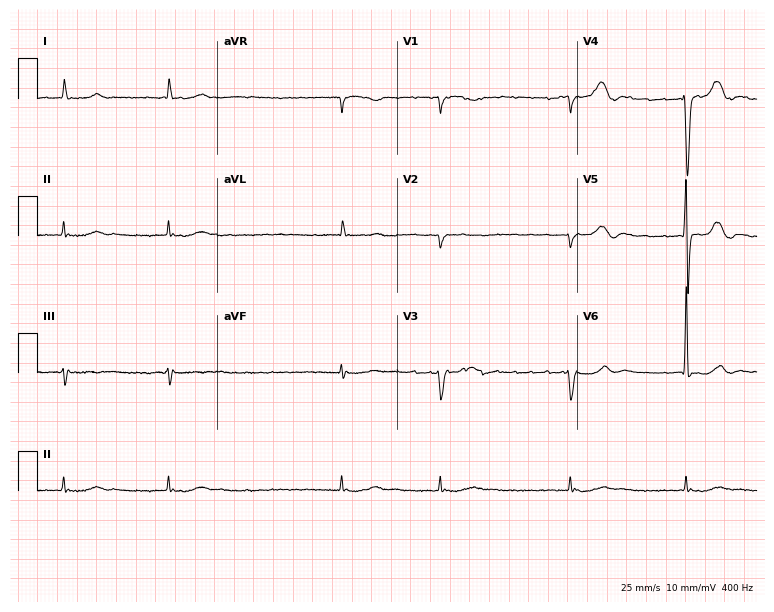
ECG (7.3-second recording at 400 Hz) — a 79-year-old male patient. Findings include atrial fibrillation.